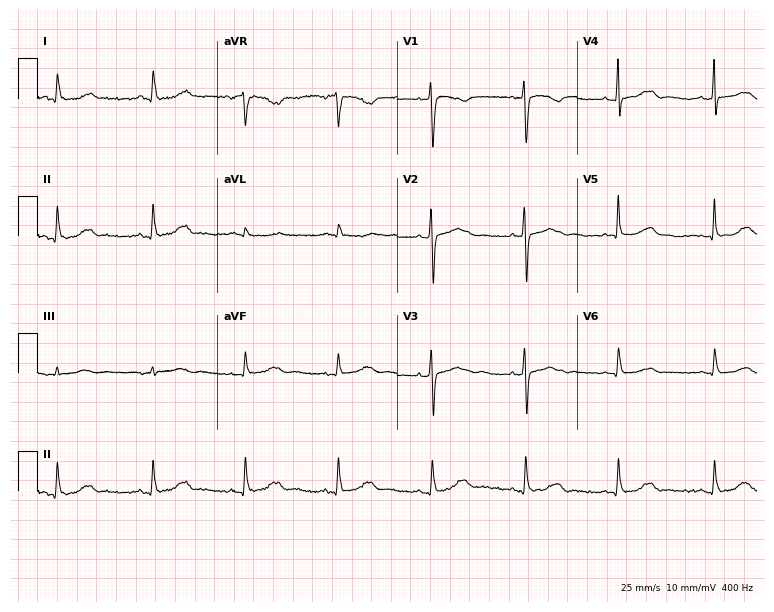
Resting 12-lead electrocardiogram. Patient: a female, 63 years old. Read as a normal ECG.